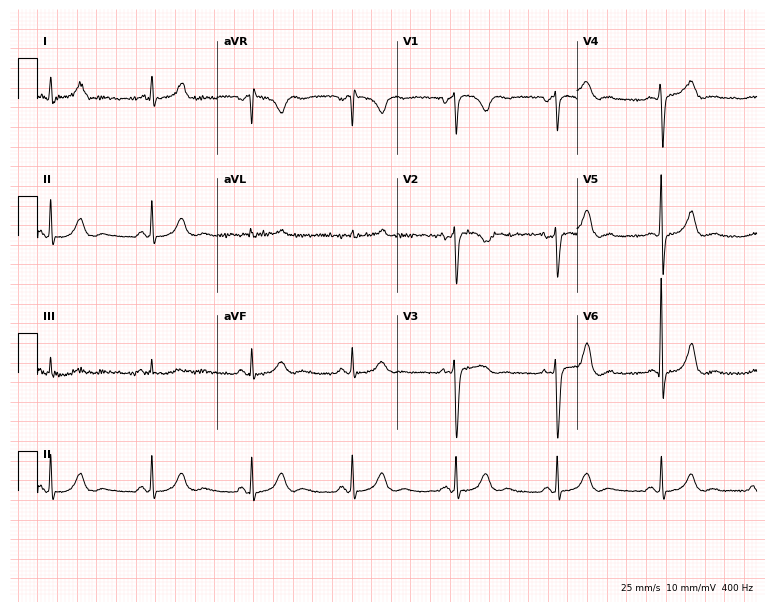
12-lead ECG (7.3-second recording at 400 Hz) from a 55-year-old female patient. Screened for six findings — first-degree AV block, right bundle branch block, left bundle branch block, sinus bradycardia, atrial fibrillation, sinus tachycardia — none is recorded. Findings outside these six are not listed.